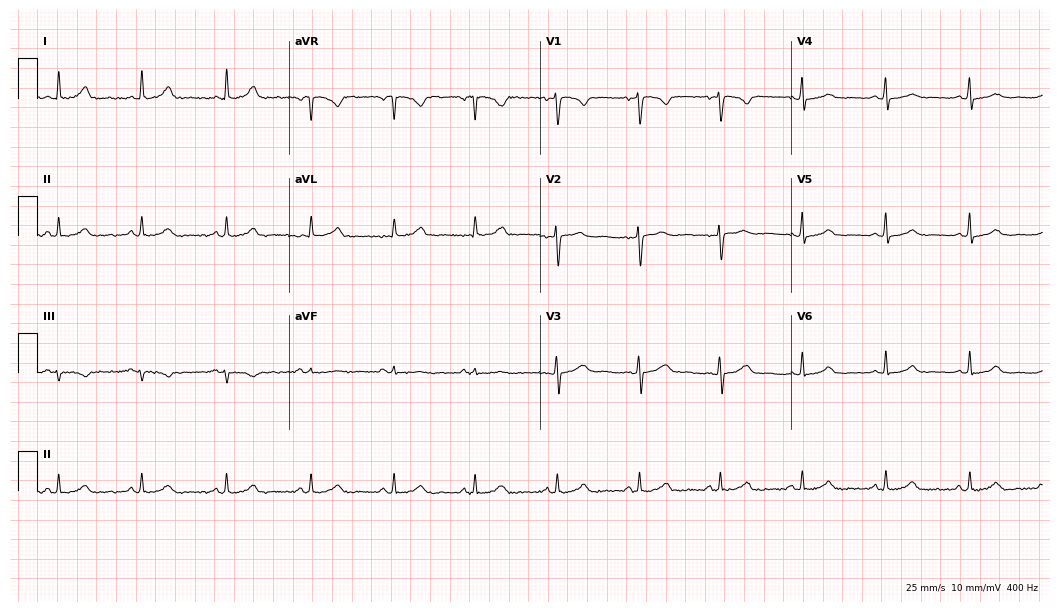
12-lead ECG from a female patient, 46 years old. Labelled as a normal ECG.